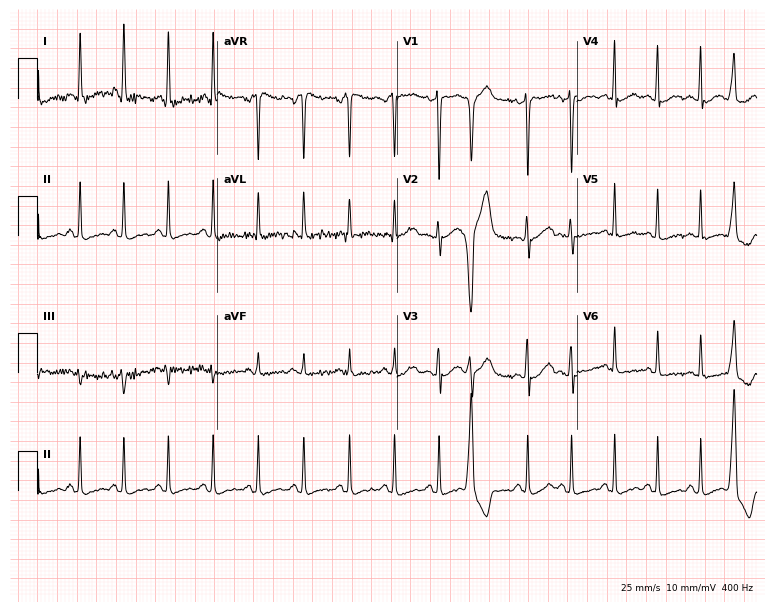
Standard 12-lead ECG recorded from a female patient, 23 years old. None of these six findings is recorded: first-degree AV block, right bundle branch block, left bundle branch block, sinus bradycardia, atrial fibrillation, sinus tachycardia.